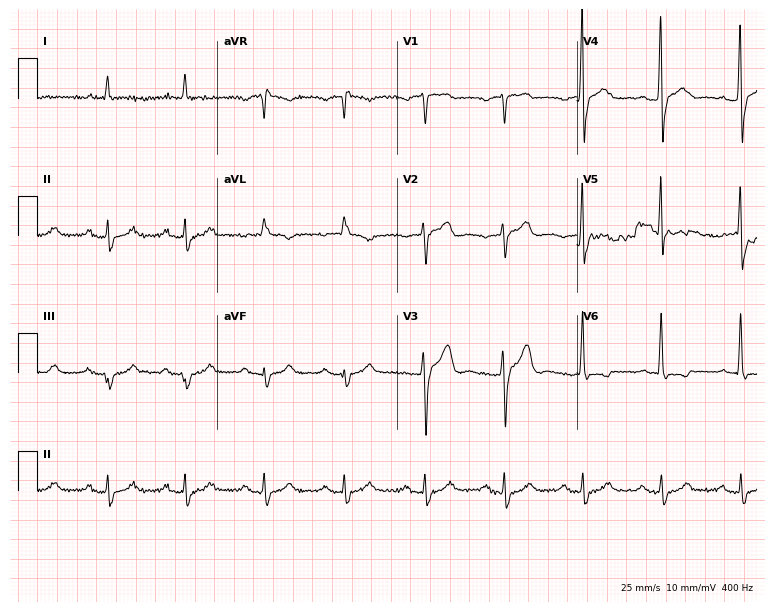
Electrocardiogram (7.3-second recording at 400 Hz), a 79-year-old man. Of the six screened findings (first-degree AV block, right bundle branch block, left bundle branch block, sinus bradycardia, atrial fibrillation, sinus tachycardia), none is recorded.